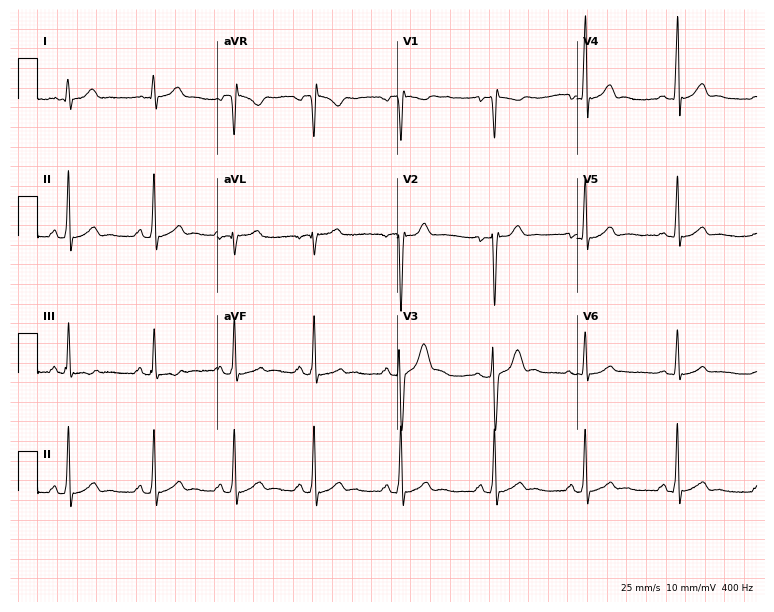
Resting 12-lead electrocardiogram (7.3-second recording at 400 Hz). Patient: a 25-year-old male. Read as a normal ECG.